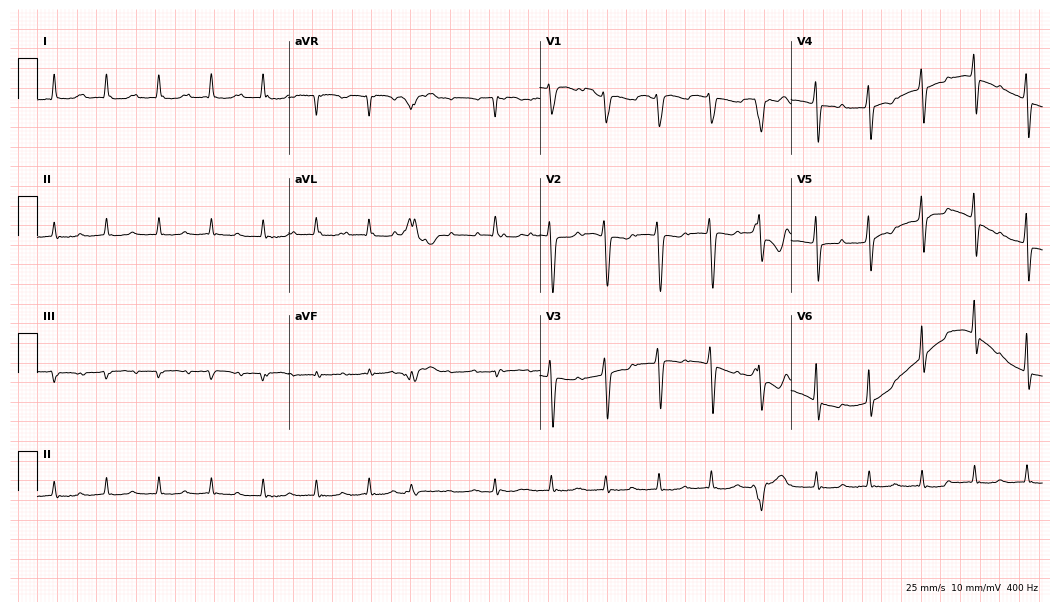
12-lead ECG from a 66-year-old man. Findings include atrial fibrillation, sinus tachycardia (a sinus rate of 100 beats per minute or more).